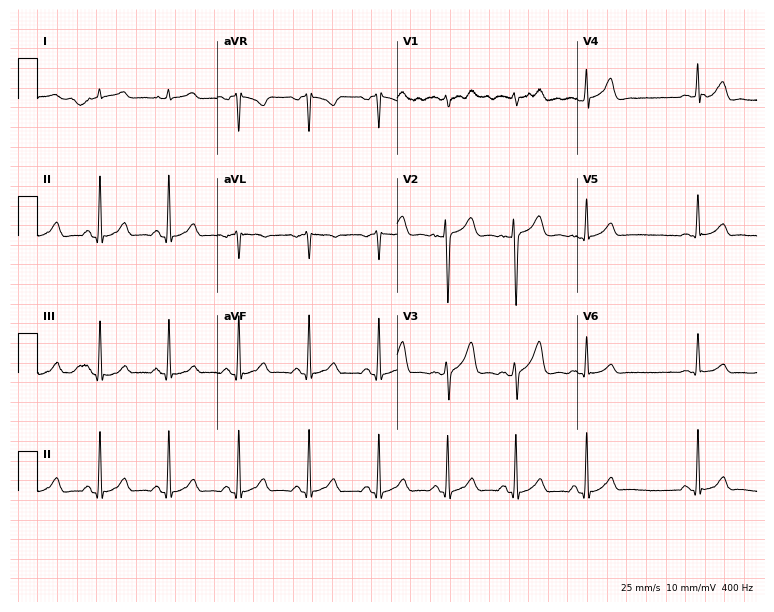
ECG — a 31-year-old male patient. Labelled as a normal ECG.